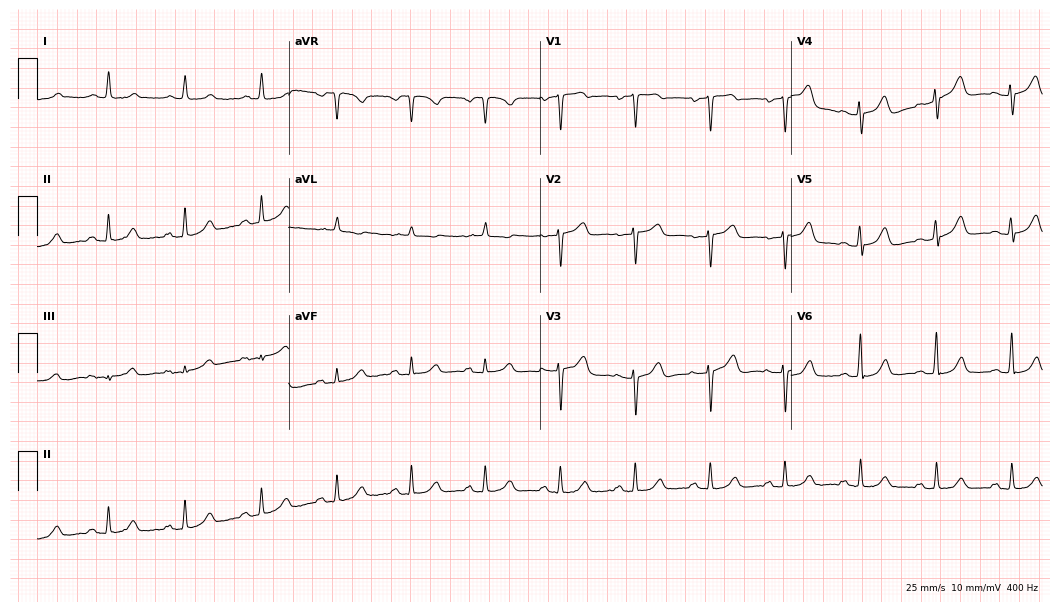
Electrocardiogram (10.2-second recording at 400 Hz), a 62-year-old woman. Overall reading on record: normal ECG.